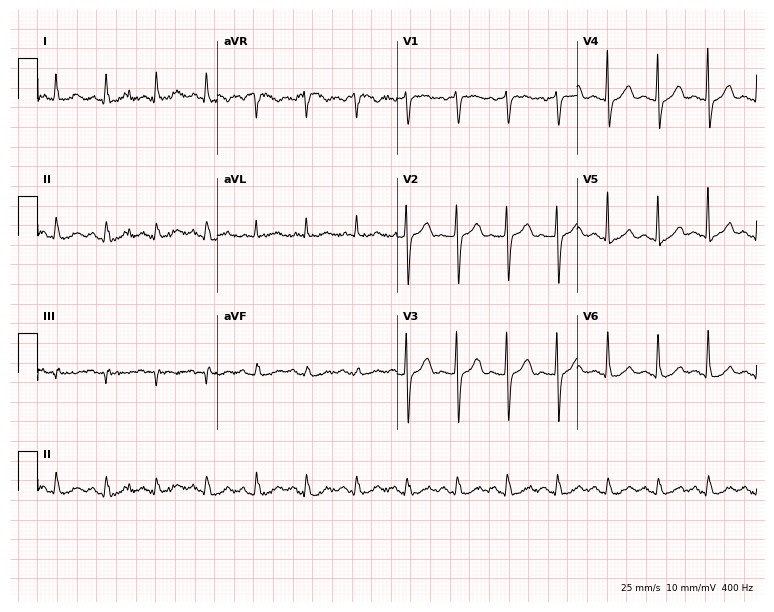
12-lead ECG from a female patient, 74 years old. Shows sinus tachycardia (a sinus rate of 100 beats per minute or more).